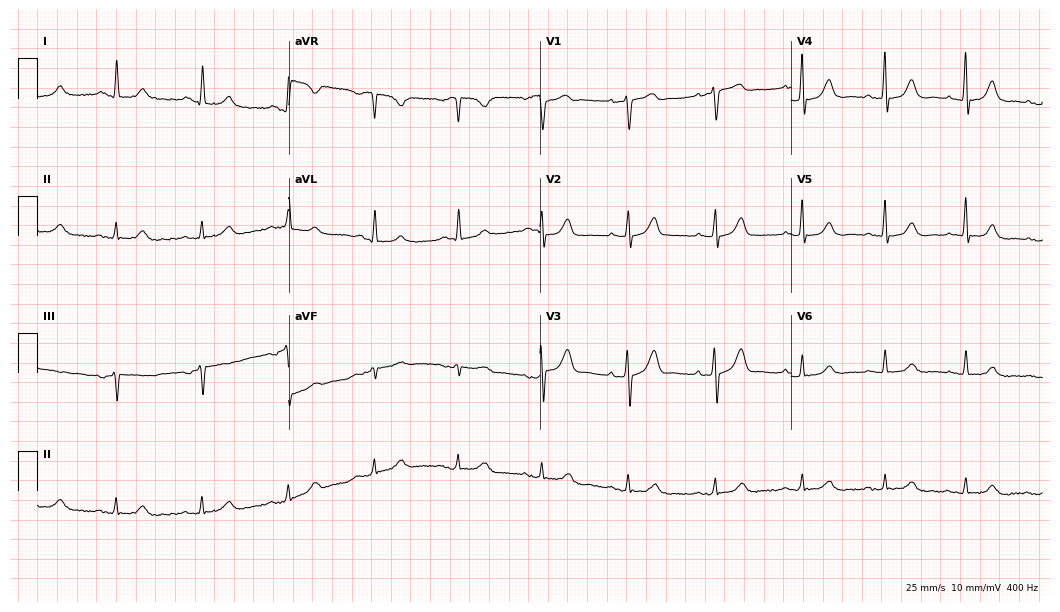
Standard 12-lead ECG recorded from a 62-year-old female patient (10.2-second recording at 400 Hz). None of these six findings is recorded: first-degree AV block, right bundle branch block, left bundle branch block, sinus bradycardia, atrial fibrillation, sinus tachycardia.